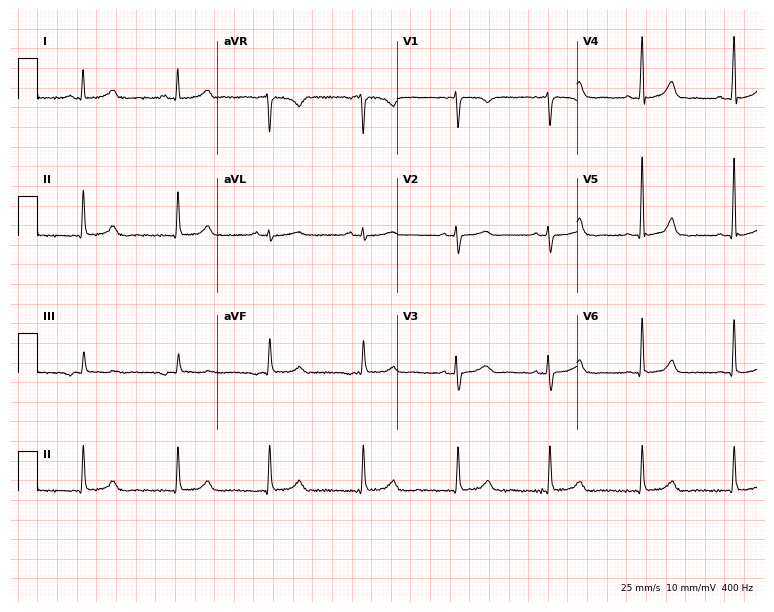
ECG (7.3-second recording at 400 Hz) — a 64-year-old female patient. Labelled as a normal ECG.